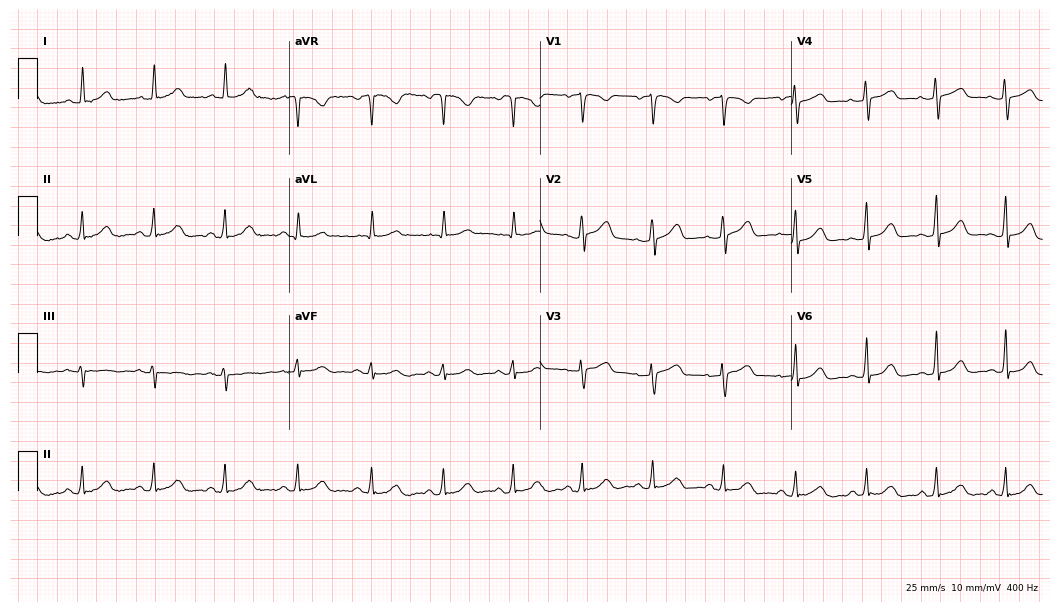
12-lead ECG from a 50-year-old female patient. Recorded interpretation: within normal limits.